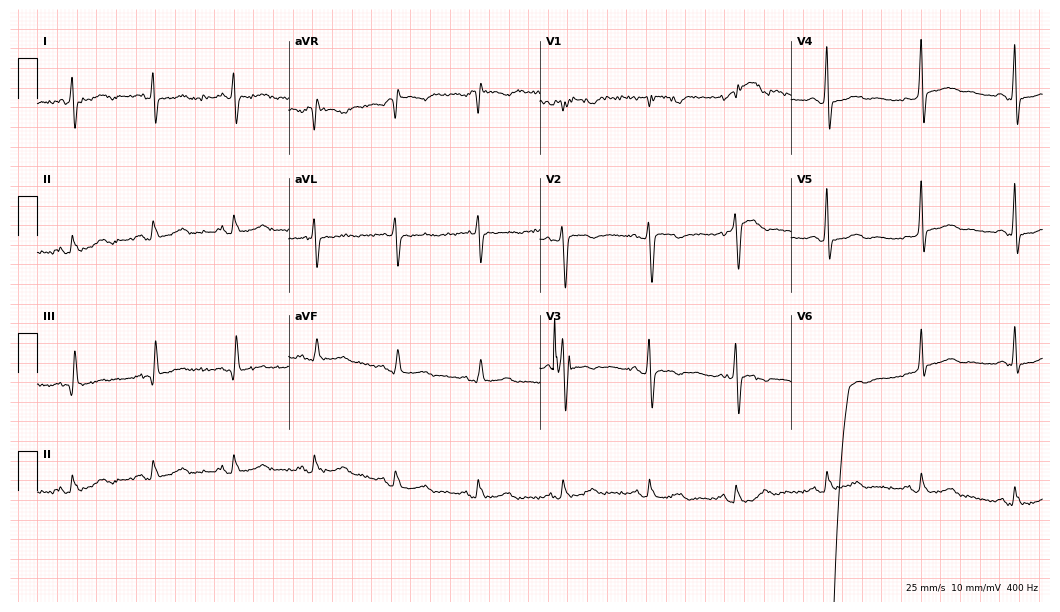
Resting 12-lead electrocardiogram. Patient: a 55-year-old female. None of these six findings is recorded: first-degree AV block, right bundle branch block, left bundle branch block, sinus bradycardia, atrial fibrillation, sinus tachycardia.